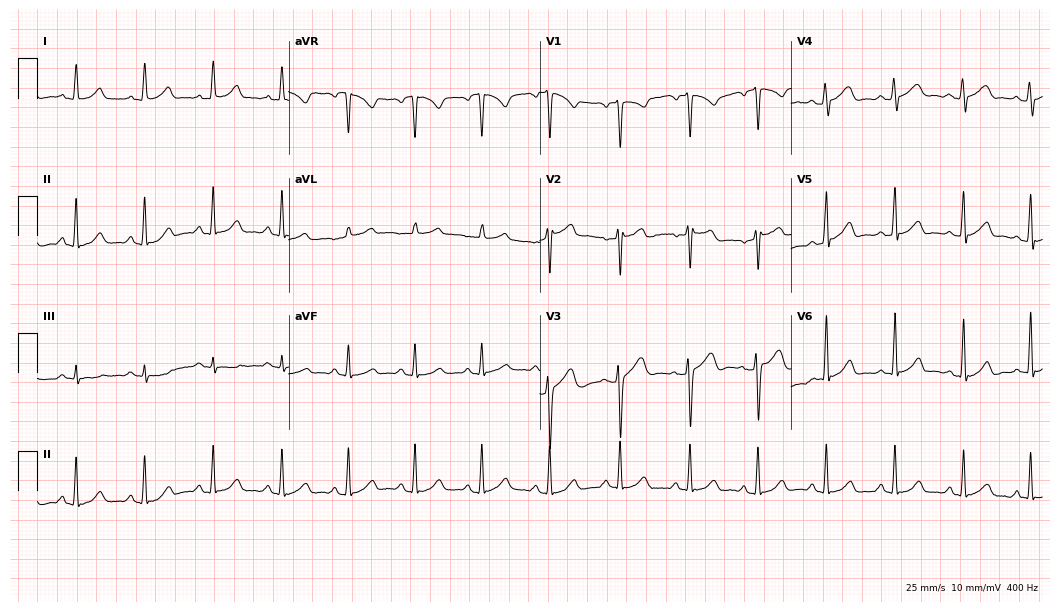
12-lead ECG from a female patient, 38 years old (10.2-second recording at 400 Hz). No first-degree AV block, right bundle branch block (RBBB), left bundle branch block (LBBB), sinus bradycardia, atrial fibrillation (AF) or sinus tachycardia recorded for this tracing.